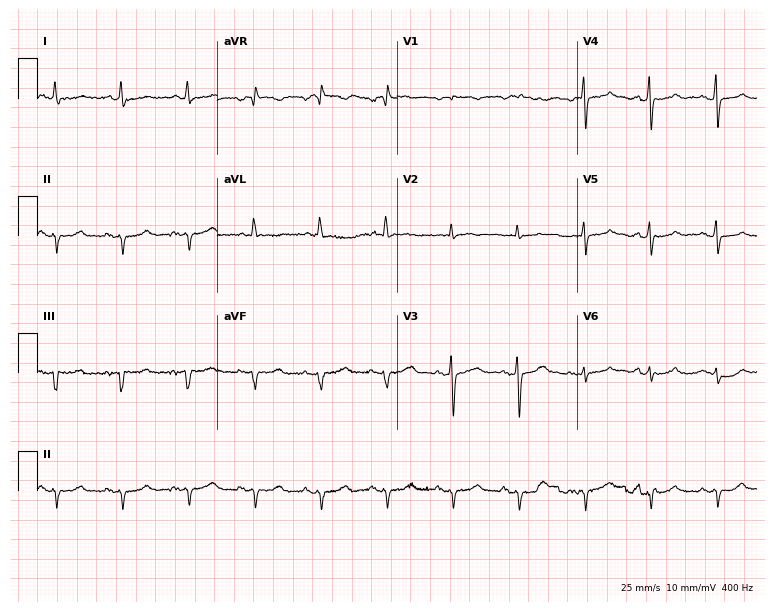
Electrocardiogram (7.3-second recording at 400 Hz), a female patient, 80 years old. Of the six screened findings (first-degree AV block, right bundle branch block, left bundle branch block, sinus bradycardia, atrial fibrillation, sinus tachycardia), none is recorded.